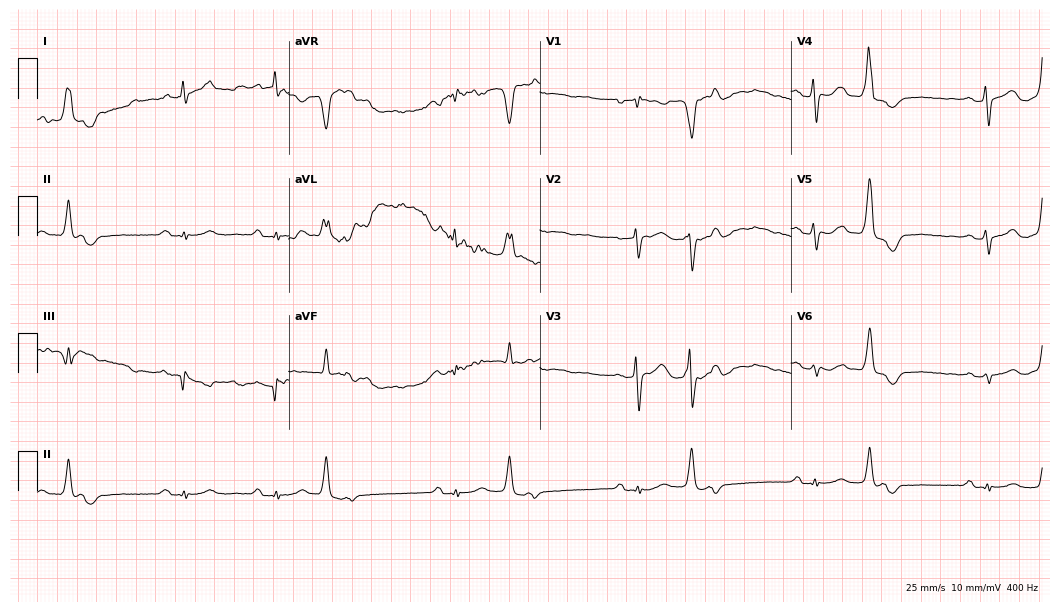
12-lead ECG from an 83-year-old male. Screened for six findings — first-degree AV block, right bundle branch block, left bundle branch block, sinus bradycardia, atrial fibrillation, sinus tachycardia — none is recorded.